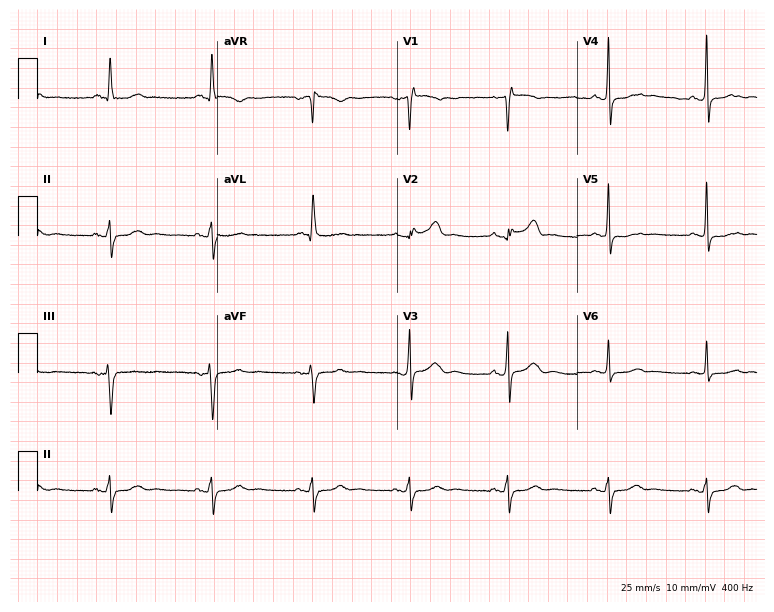
Standard 12-lead ECG recorded from a 71-year-old man. None of these six findings is recorded: first-degree AV block, right bundle branch block, left bundle branch block, sinus bradycardia, atrial fibrillation, sinus tachycardia. Other findings, if any, are not listed.